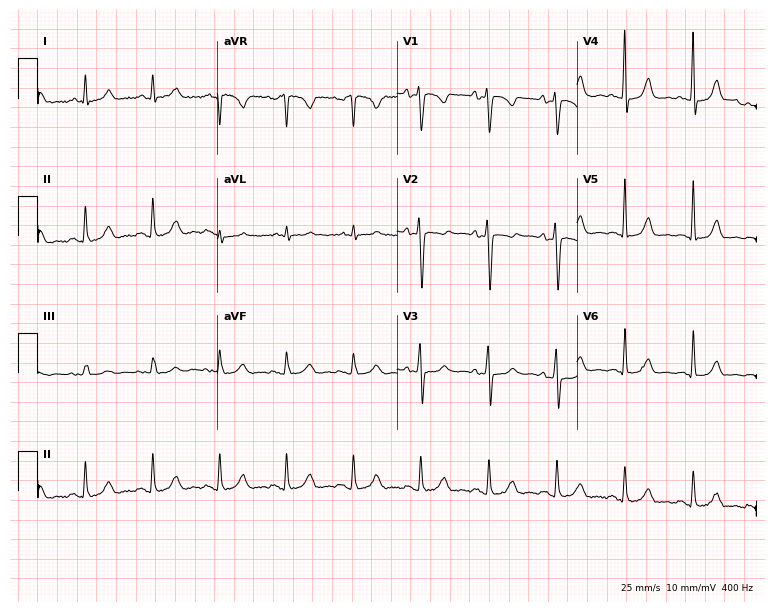
12-lead ECG from a female, 51 years old (7.3-second recording at 400 Hz). No first-degree AV block, right bundle branch block, left bundle branch block, sinus bradycardia, atrial fibrillation or sinus tachycardia recorded for this tracing.